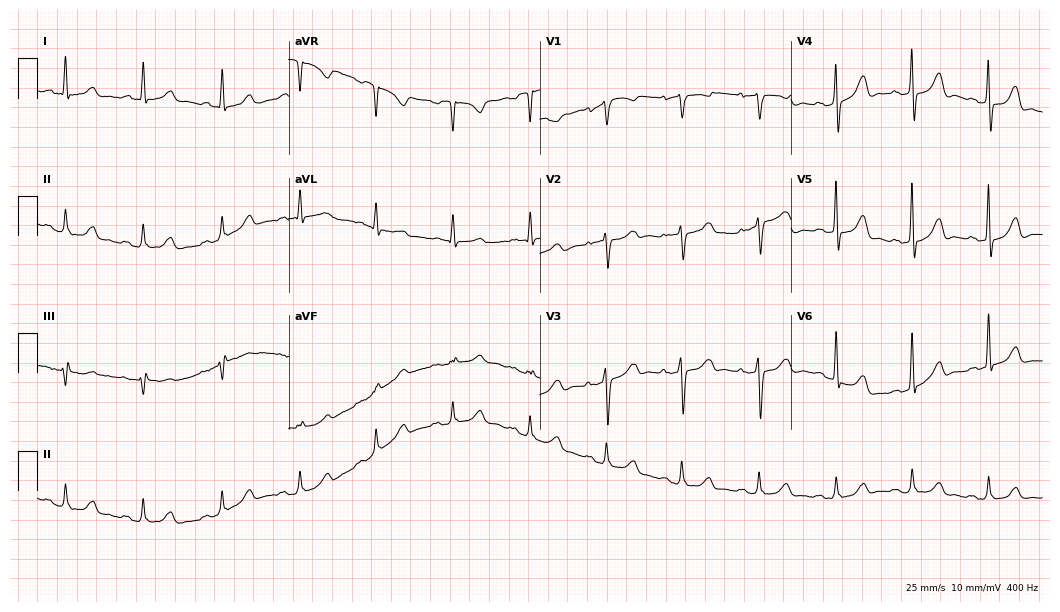
Resting 12-lead electrocardiogram (10.2-second recording at 400 Hz). Patient: a 64-year-old woman. Read as a normal ECG.